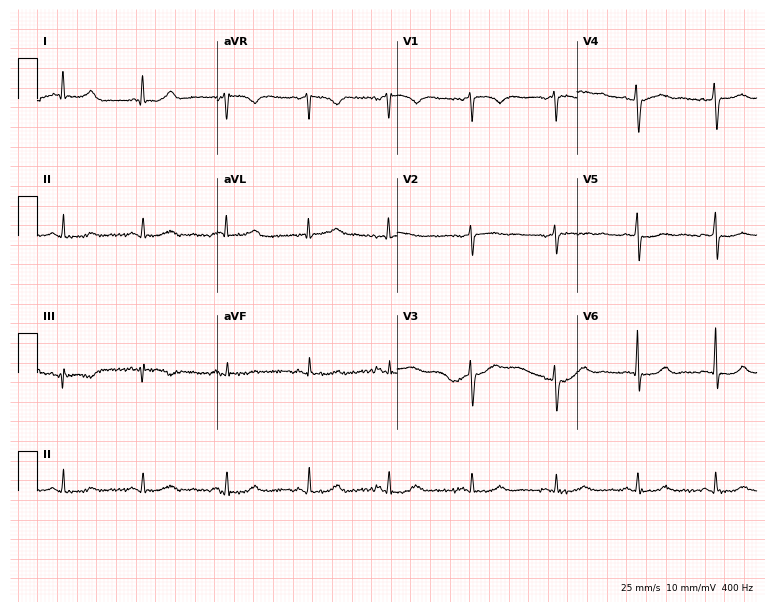
Standard 12-lead ECG recorded from a woman, 33 years old (7.3-second recording at 400 Hz). Read as a normal ECG.